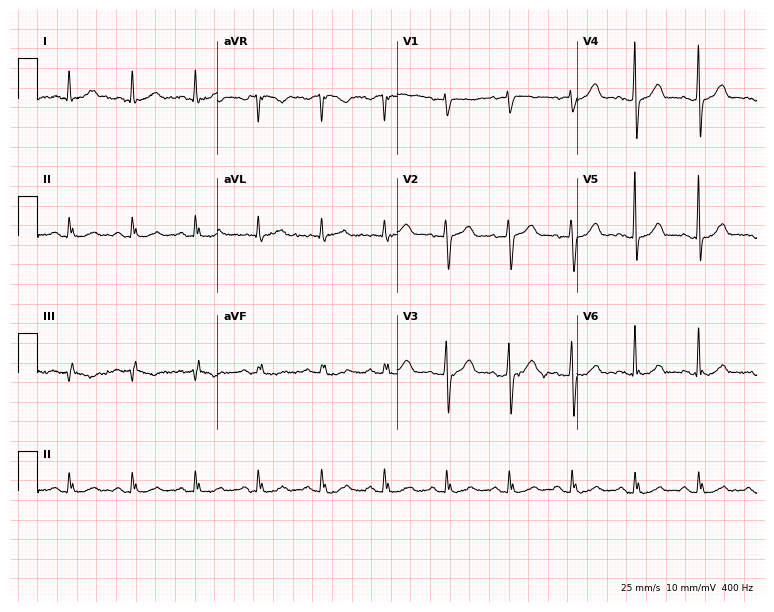
Standard 12-lead ECG recorded from a male patient, 57 years old. None of these six findings is recorded: first-degree AV block, right bundle branch block, left bundle branch block, sinus bradycardia, atrial fibrillation, sinus tachycardia.